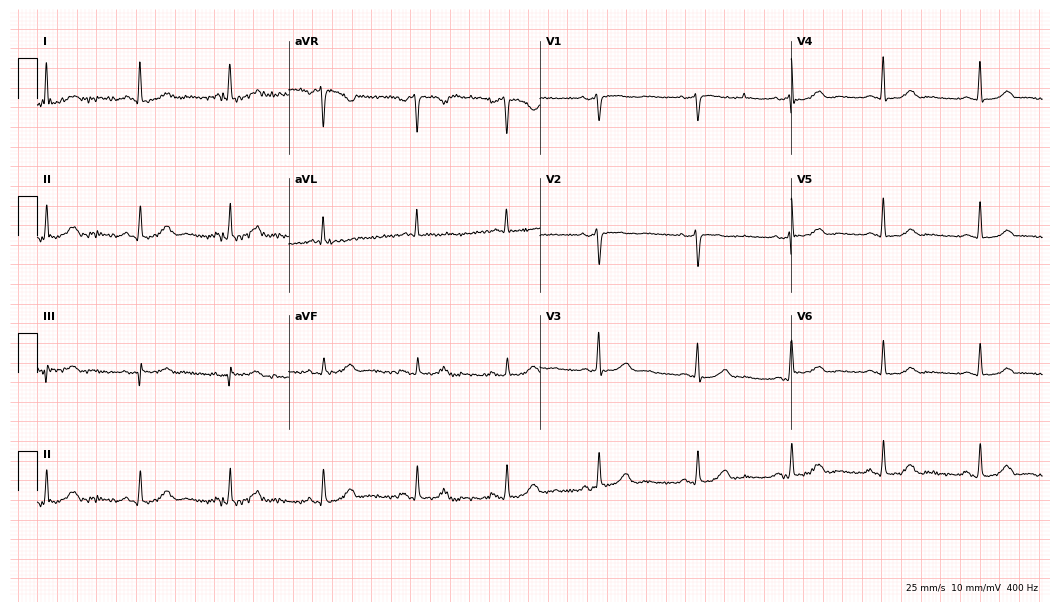
Resting 12-lead electrocardiogram. Patient: a woman, 64 years old. Read as a normal ECG.